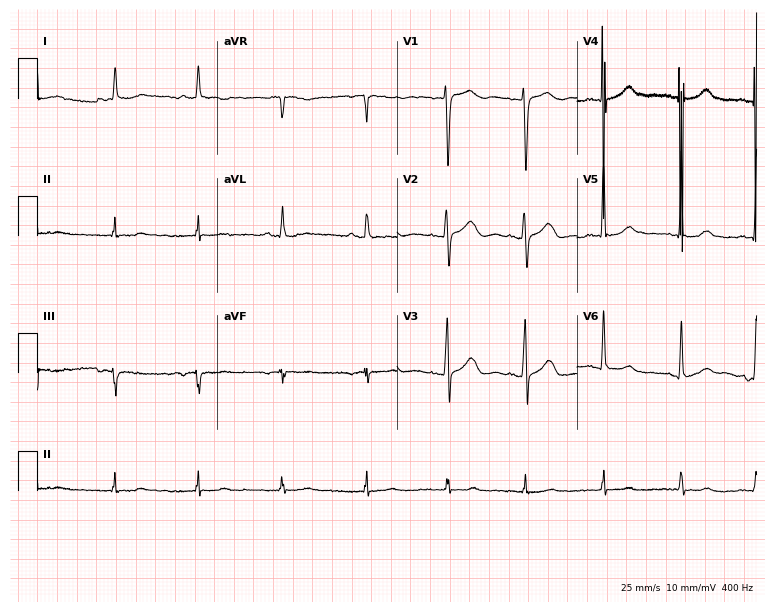
12-lead ECG (7.3-second recording at 400 Hz) from a 62-year-old female patient. Screened for six findings — first-degree AV block, right bundle branch block, left bundle branch block, sinus bradycardia, atrial fibrillation, sinus tachycardia — none is recorded.